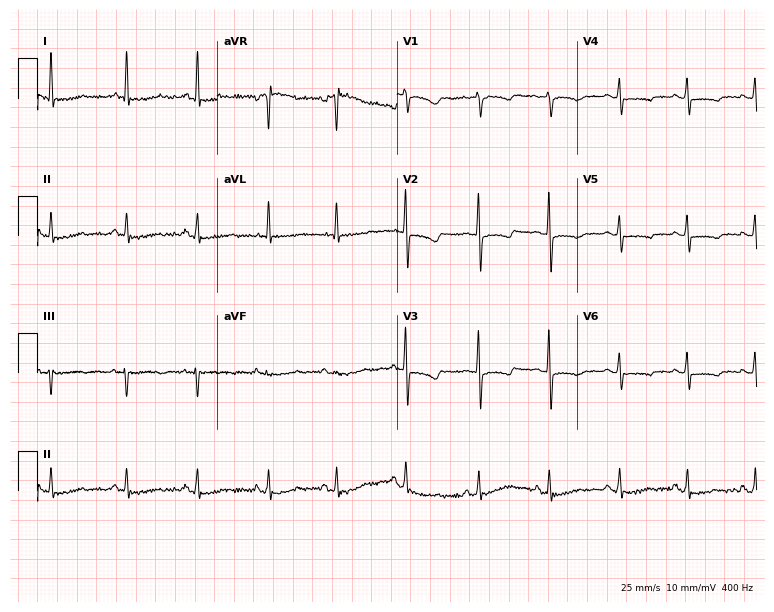
12-lead ECG from a 53-year-old woman (7.3-second recording at 400 Hz). Recorded interpretation: within normal limits.